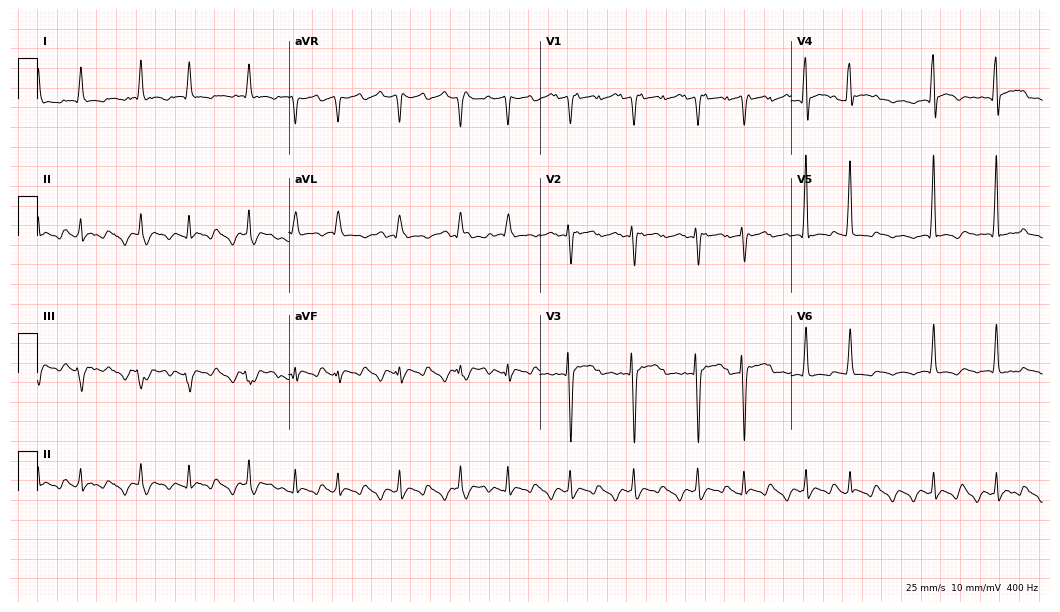
Standard 12-lead ECG recorded from a 44-year-old male (10.2-second recording at 400 Hz). The tracing shows atrial fibrillation (AF).